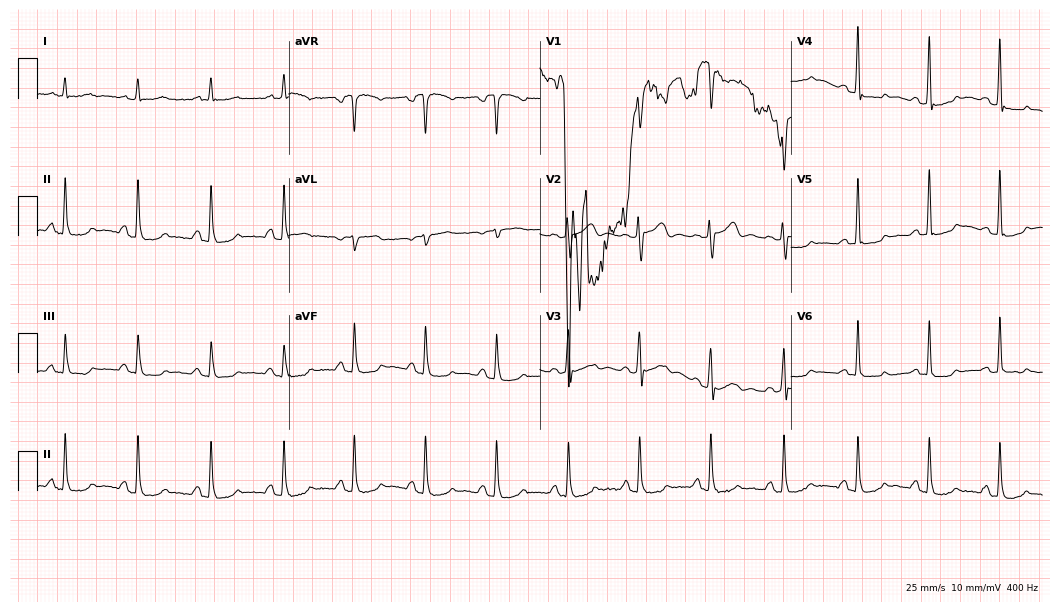
ECG (10.2-second recording at 400 Hz) — a male, 64 years old. Screened for six findings — first-degree AV block, right bundle branch block, left bundle branch block, sinus bradycardia, atrial fibrillation, sinus tachycardia — none is recorded.